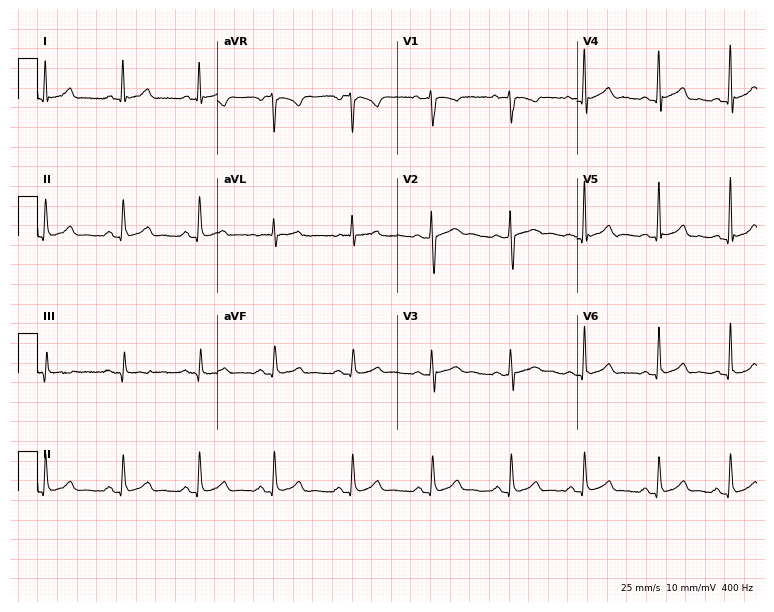
12-lead ECG (7.3-second recording at 400 Hz) from a 29-year-old woman. Screened for six findings — first-degree AV block, right bundle branch block, left bundle branch block, sinus bradycardia, atrial fibrillation, sinus tachycardia — none is recorded.